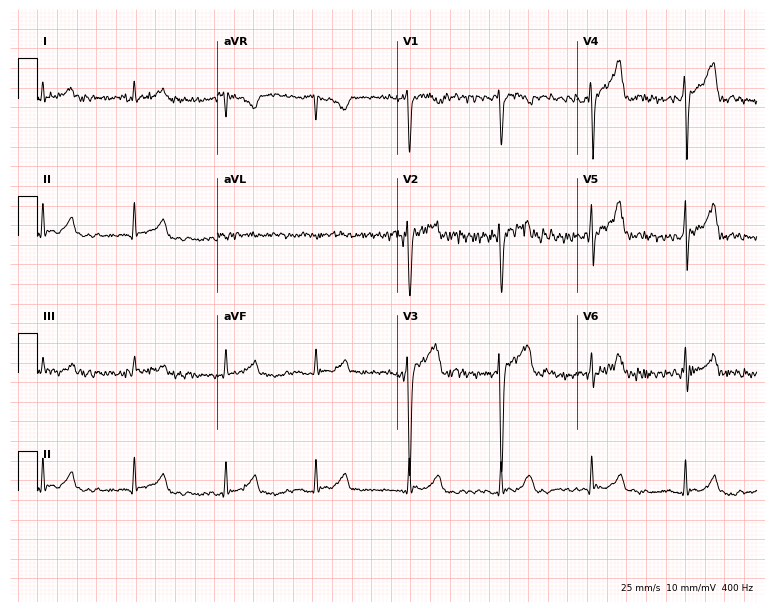
12-lead ECG from a male, 34 years old. No first-degree AV block, right bundle branch block (RBBB), left bundle branch block (LBBB), sinus bradycardia, atrial fibrillation (AF) or sinus tachycardia recorded for this tracing.